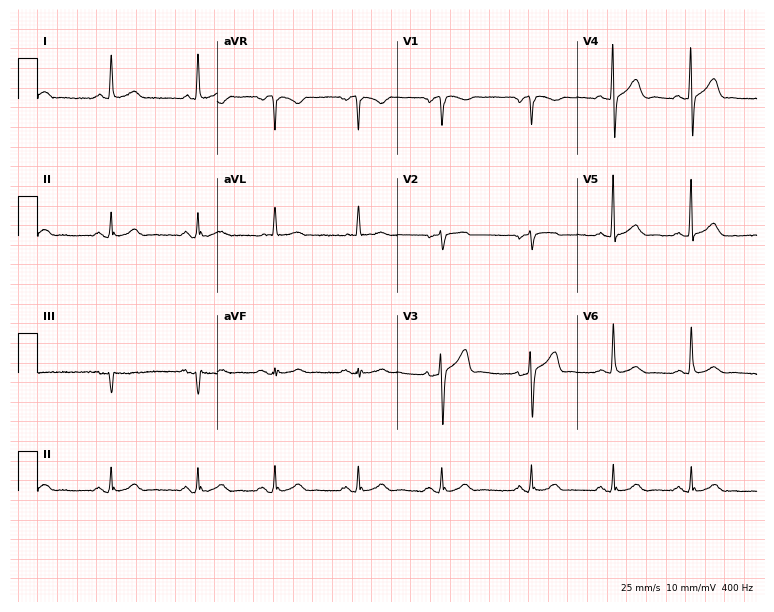
12-lead ECG from a male patient, 77 years old. Labelled as a normal ECG.